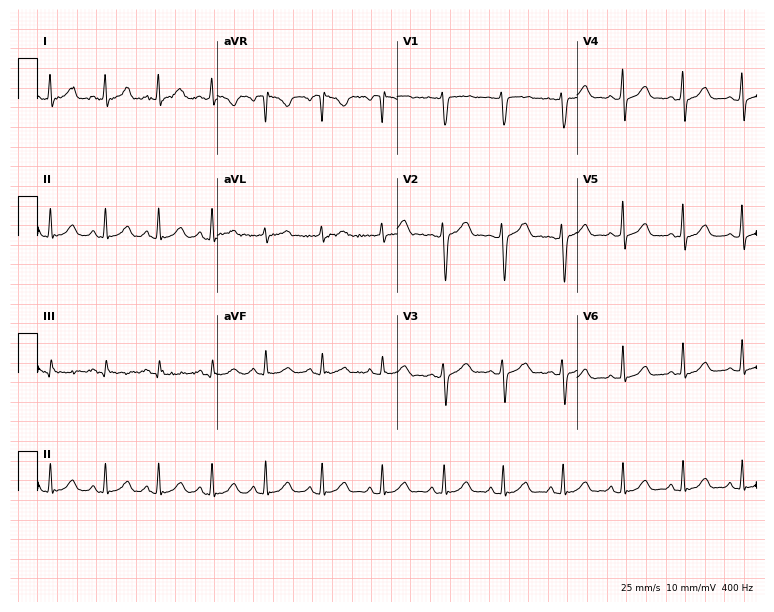
12-lead ECG from a 24-year-old female (7.3-second recording at 400 Hz). No first-degree AV block, right bundle branch block (RBBB), left bundle branch block (LBBB), sinus bradycardia, atrial fibrillation (AF) or sinus tachycardia recorded for this tracing. Findings outside these six are not listed.